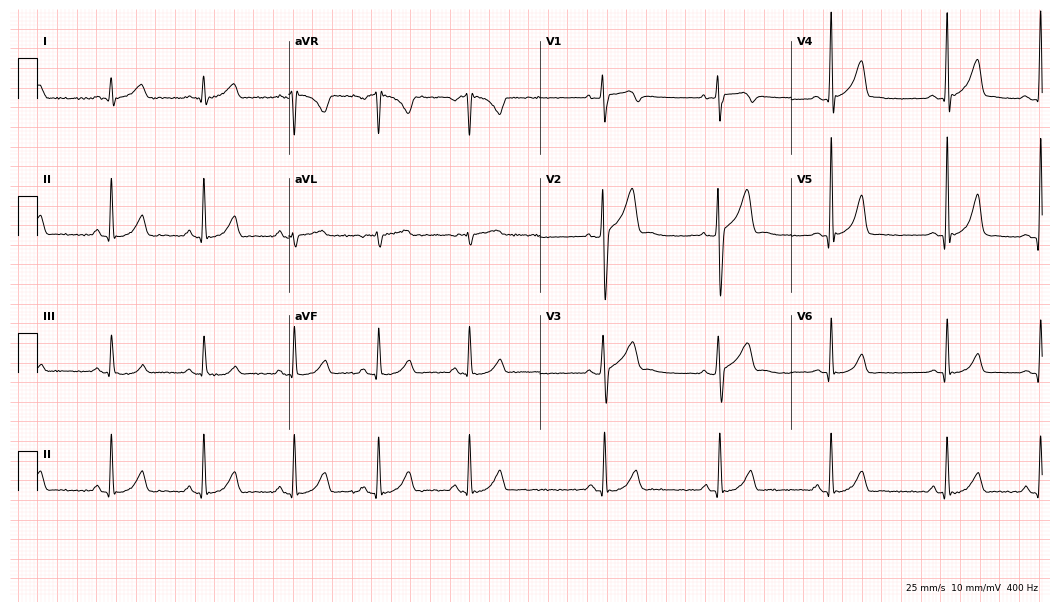
ECG — a 25-year-old man. Labelled as a normal ECG.